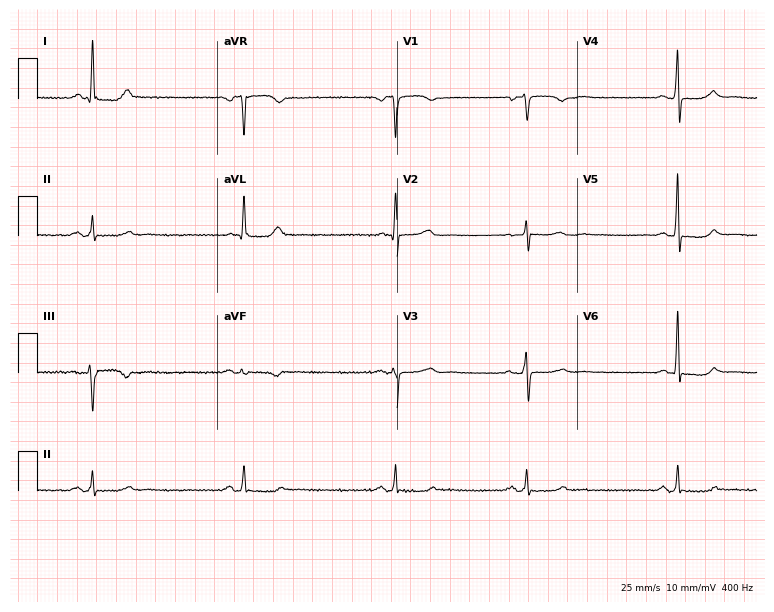
Standard 12-lead ECG recorded from a 57-year-old woman. None of these six findings is recorded: first-degree AV block, right bundle branch block (RBBB), left bundle branch block (LBBB), sinus bradycardia, atrial fibrillation (AF), sinus tachycardia. Findings outside these six are not listed.